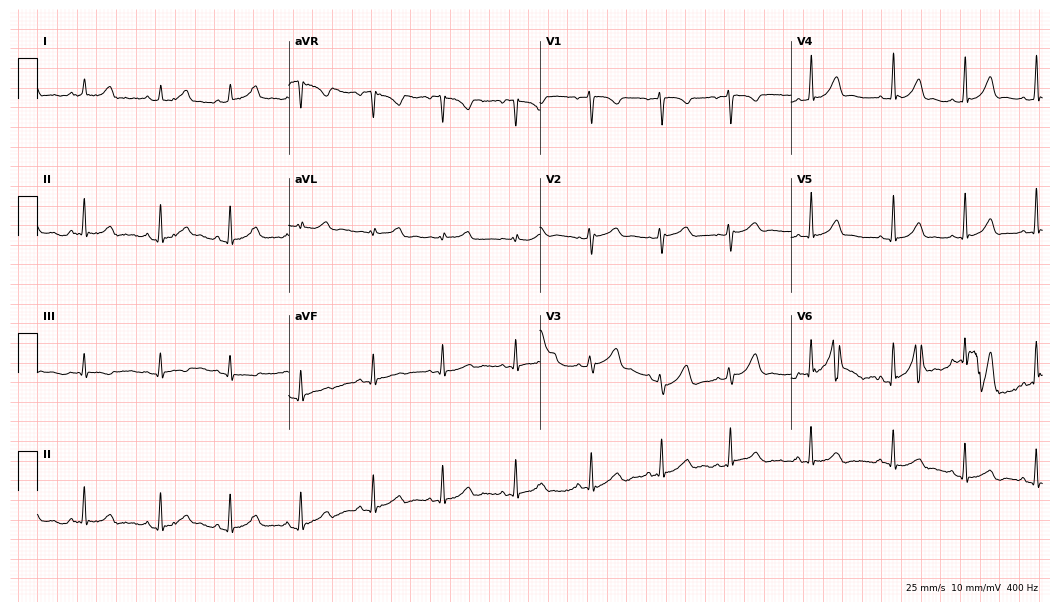
Electrocardiogram (10.2-second recording at 400 Hz), a 21-year-old female patient. Overall reading on record: normal ECG.